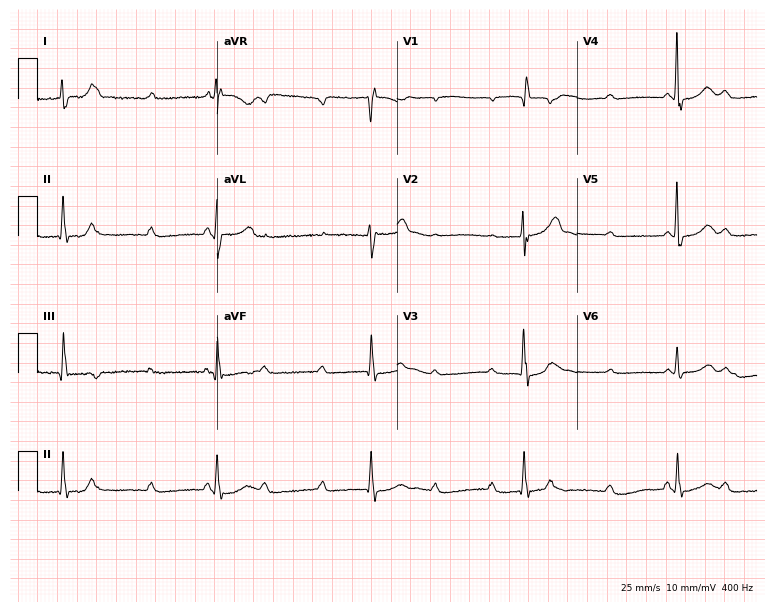
12-lead ECG from an 85-year-old female. Screened for six findings — first-degree AV block, right bundle branch block, left bundle branch block, sinus bradycardia, atrial fibrillation, sinus tachycardia — none is recorded.